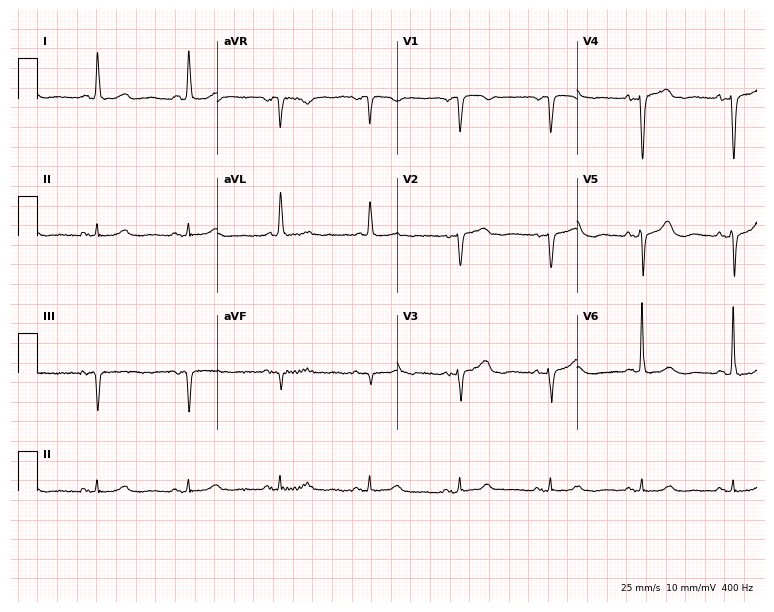
12-lead ECG (7.3-second recording at 400 Hz) from a female patient, 80 years old. Screened for six findings — first-degree AV block, right bundle branch block, left bundle branch block, sinus bradycardia, atrial fibrillation, sinus tachycardia — none is recorded.